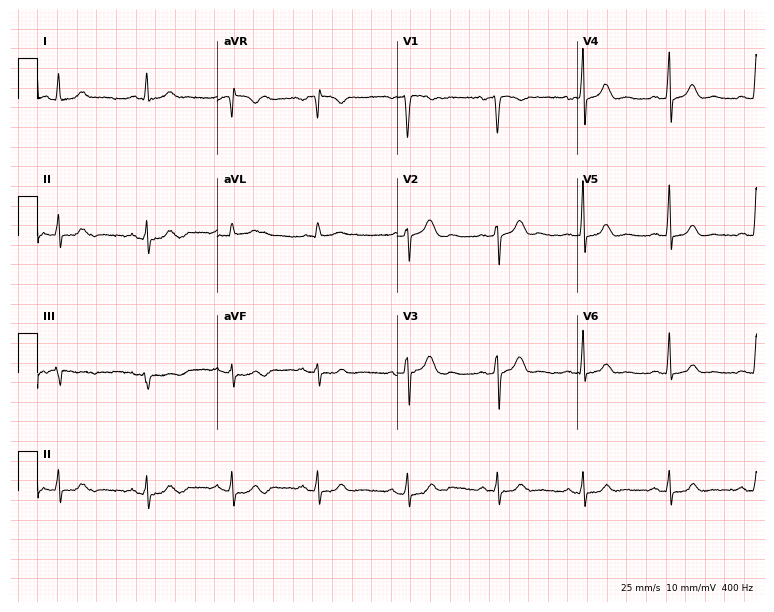
12-lead ECG from a 56-year-old man (7.3-second recording at 400 Hz). Recorded interpretation: within normal limits.